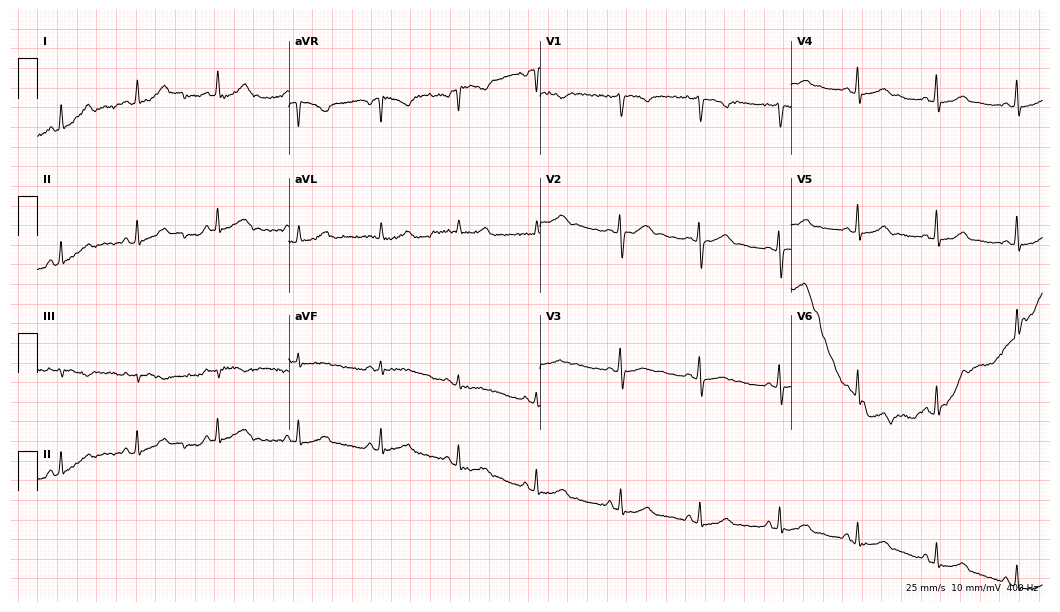
ECG — a 21-year-old female. Labelled as a normal ECG.